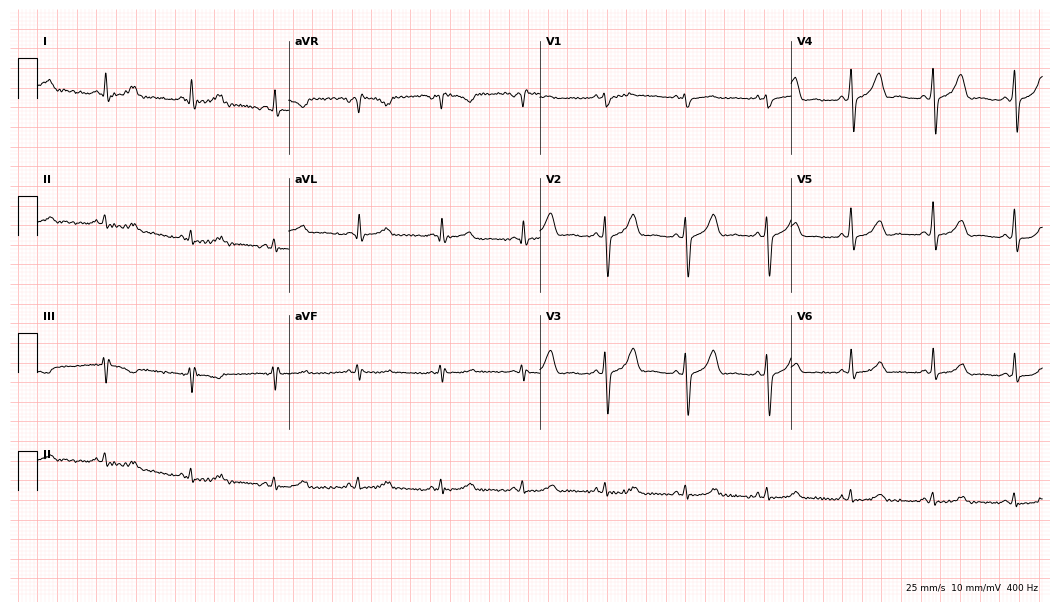
Standard 12-lead ECG recorded from a male patient, 53 years old. Read as a normal ECG.